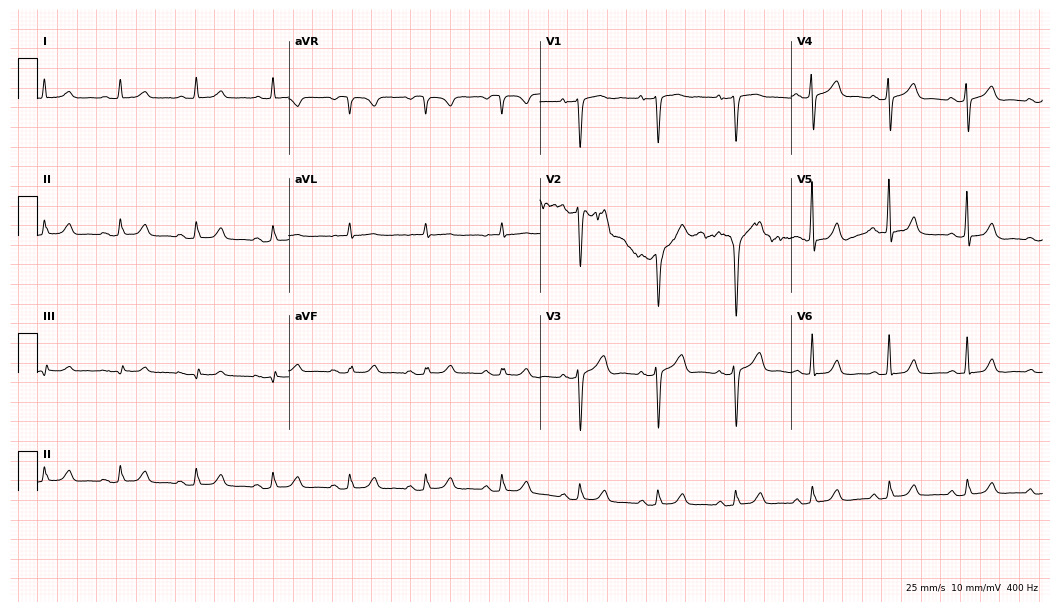
12-lead ECG (10.2-second recording at 400 Hz) from a female, 72 years old. Labelled as a normal ECG.